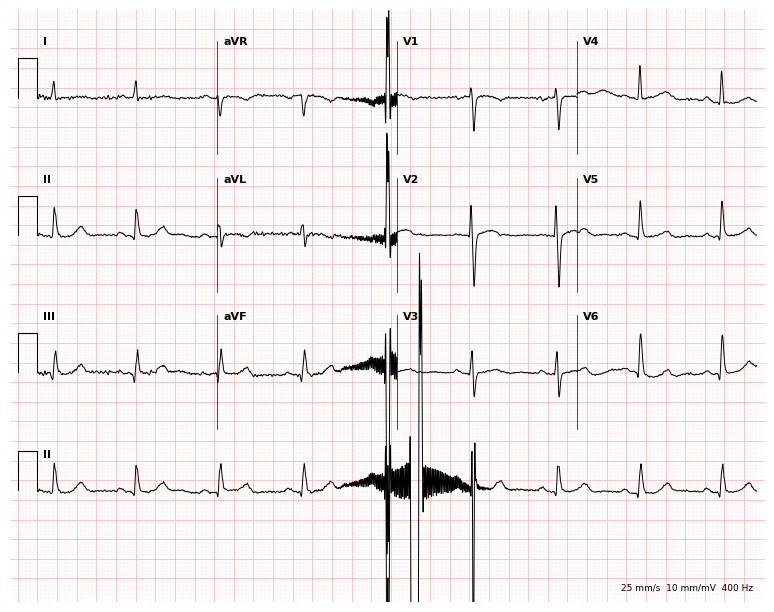
Resting 12-lead electrocardiogram (7.3-second recording at 400 Hz). Patient: a female, 39 years old. Read as a normal ECG.